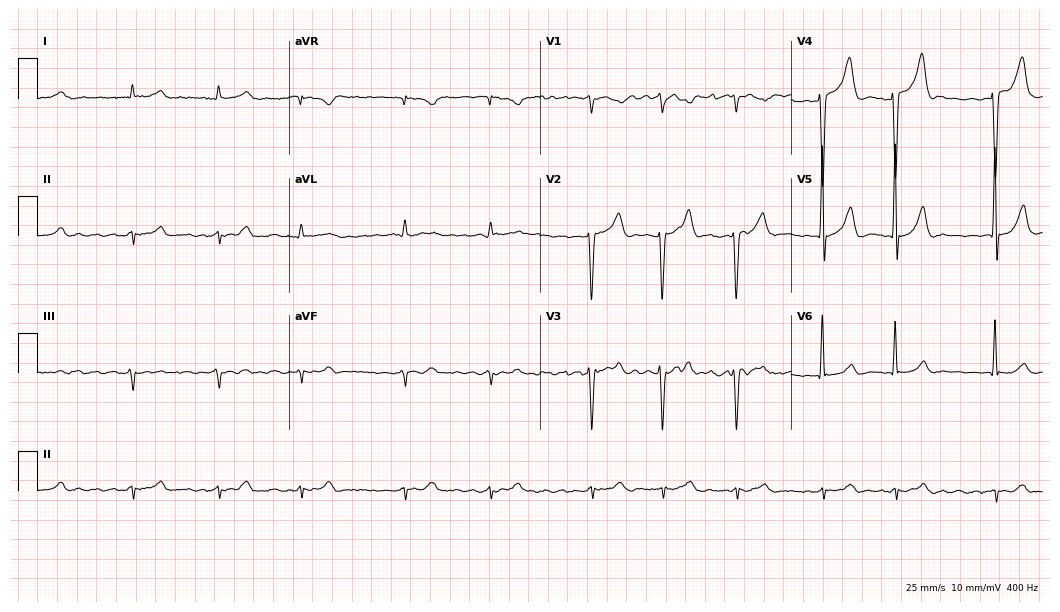
ECG — a man, 75 years old. Findings include atrial fibrillation.